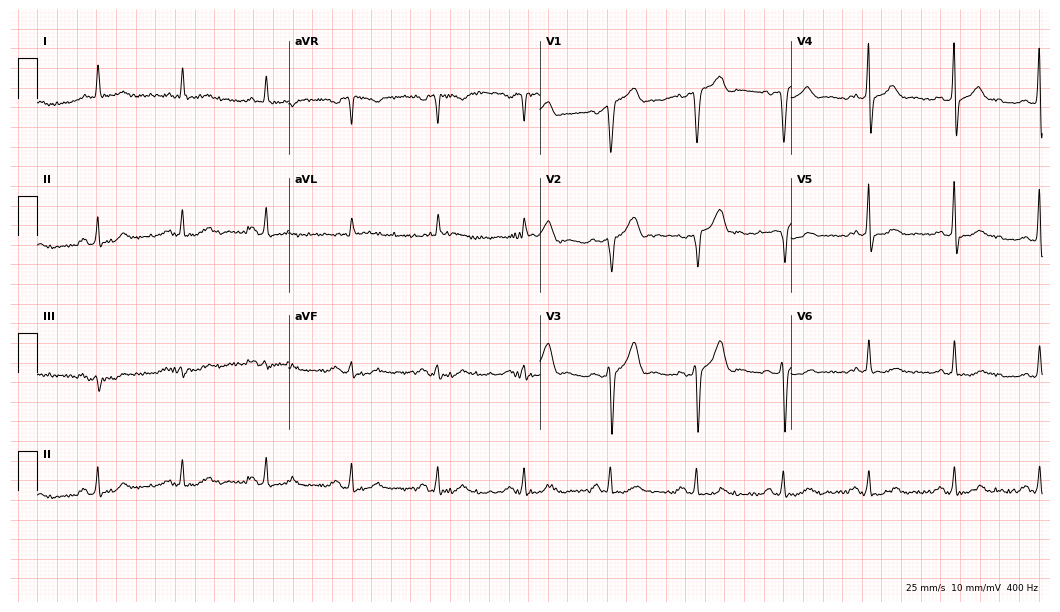
12-lead ECG (10.2-second recording at 400 Hz) from a male patient, 66 years old. Labelled as a normal ECG.